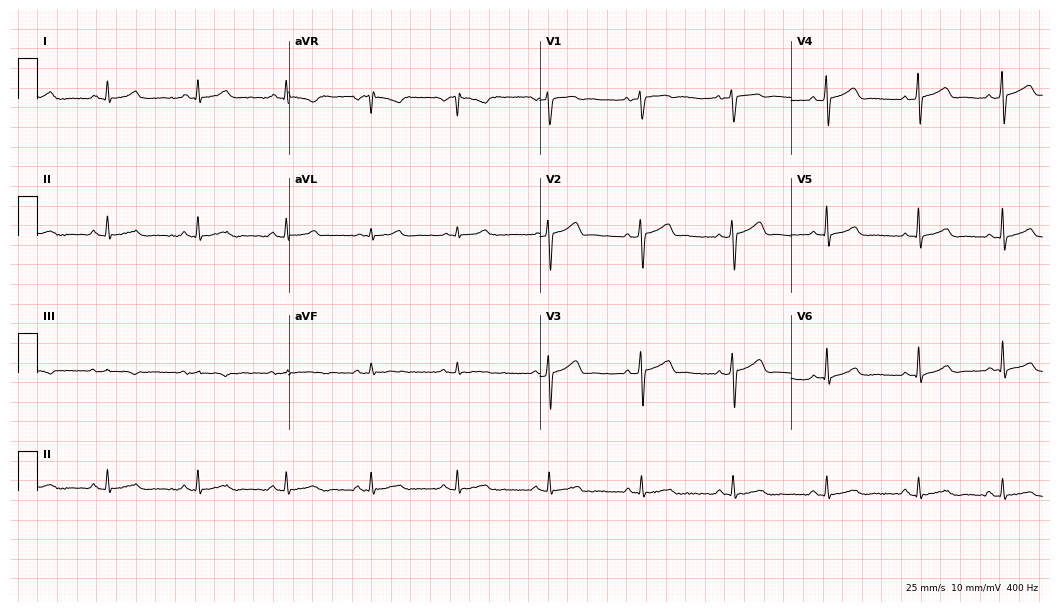
Resting 12-lead electrocardiogram. Patient: a man, 32 years old. Read as a normal ECG.